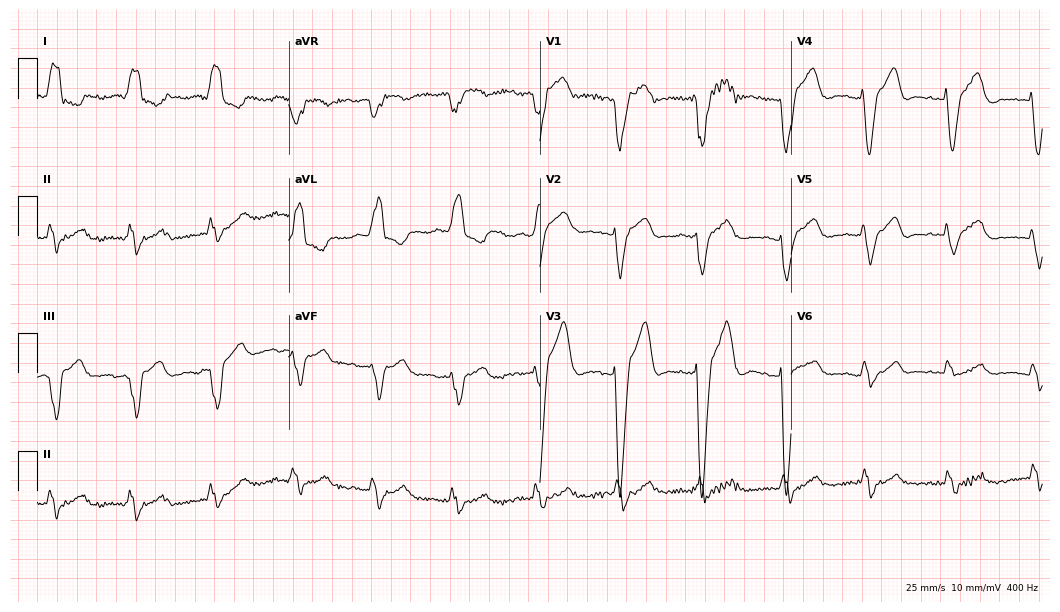
12-lead ECG from a 73-year-old female patient. No first-degree AV block, right bundle branch block, left bundle branch block, sinus bradycardia, atrial fibrillation or sinus tachycardia recorded for this tracing. Other findings, if any, are not listed.